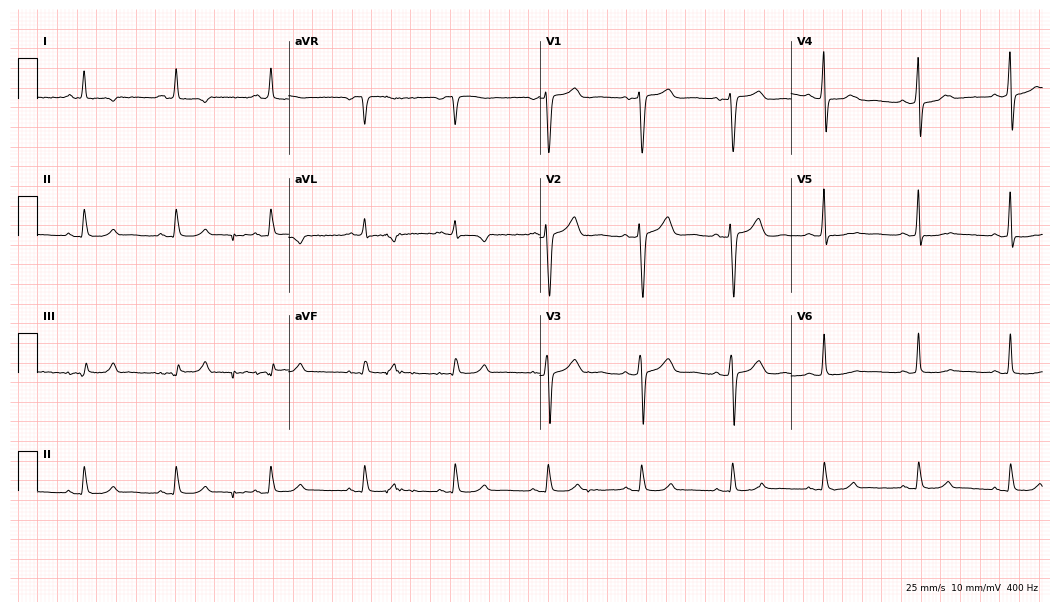
Electrocardiogram, a female patient, 60 years old. Of the six screened findings (first-degree AV block, right bundle branch block, left bundle branch block, sinus bradycardia, atrial fibrillation, sinus tachycardia), none is recorded. Only these six findings were labelled.